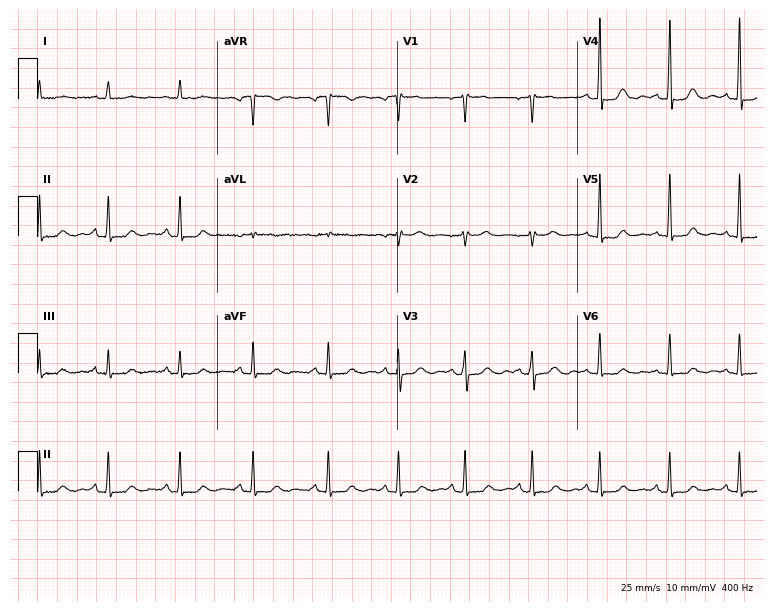
12-lead ECG from a female patient, 30 years old (7.3-second recording at 400 Hz). Recorded interpretation: within normal limits.